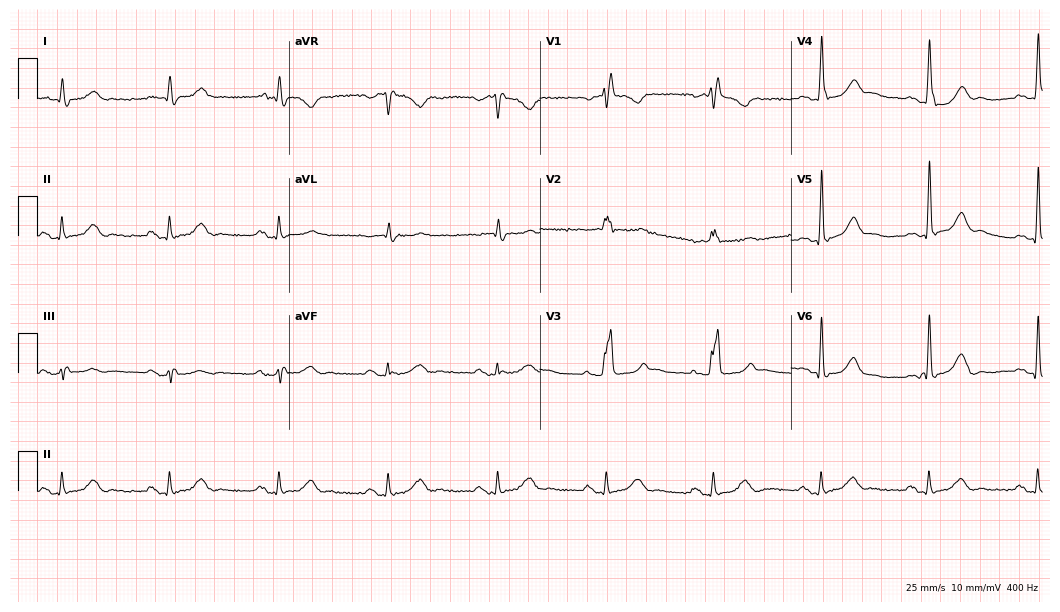
Standard 12-lead ECG recorded from a female, 85 years old. The tracing shows right bundle branch block.